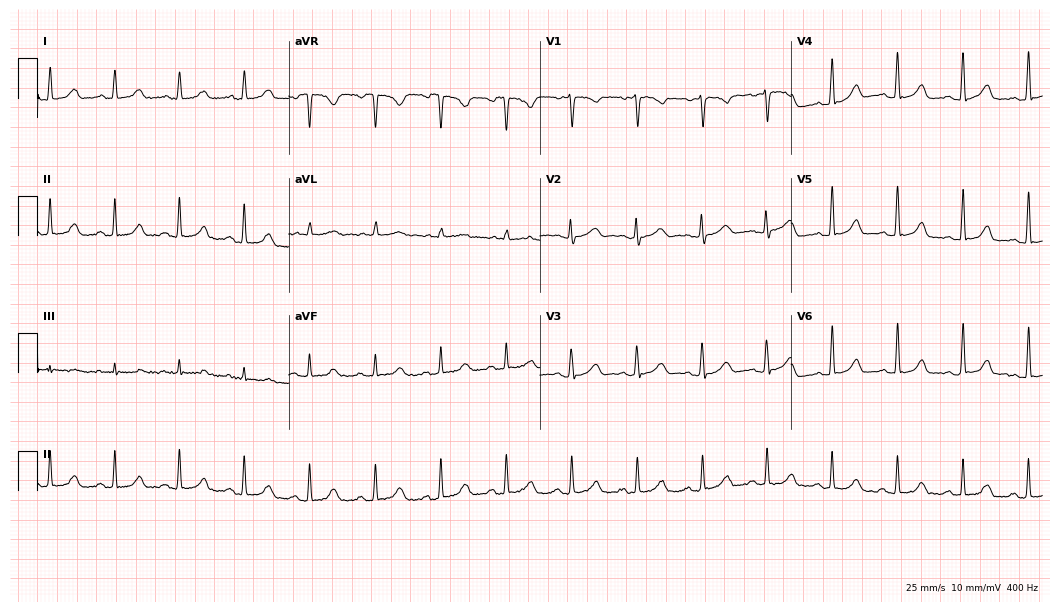
12-lead ECG from a 35-year-old female patient. Recorded interpretation: within normal limits.